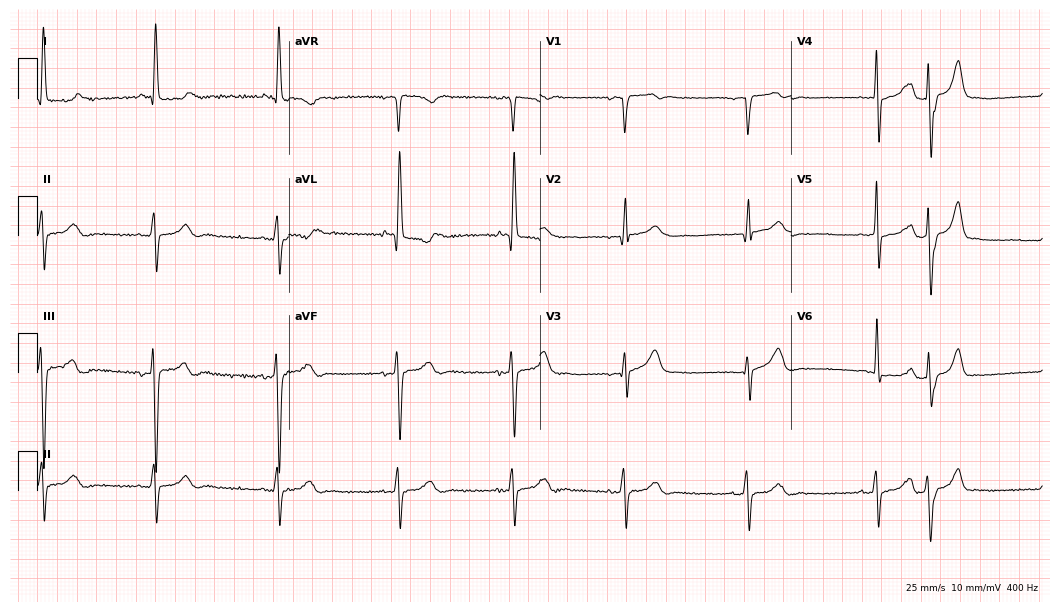
Resting 12-lead electrocardiogram. Patient: a 65-year-old female. None of these six findings is recorded: first-degree AV block, right bundle branch block, left bundle branch block, sinus bradycardia, atrial fibrillation, sinus tachycardia. Other findings, if any, are not listed.